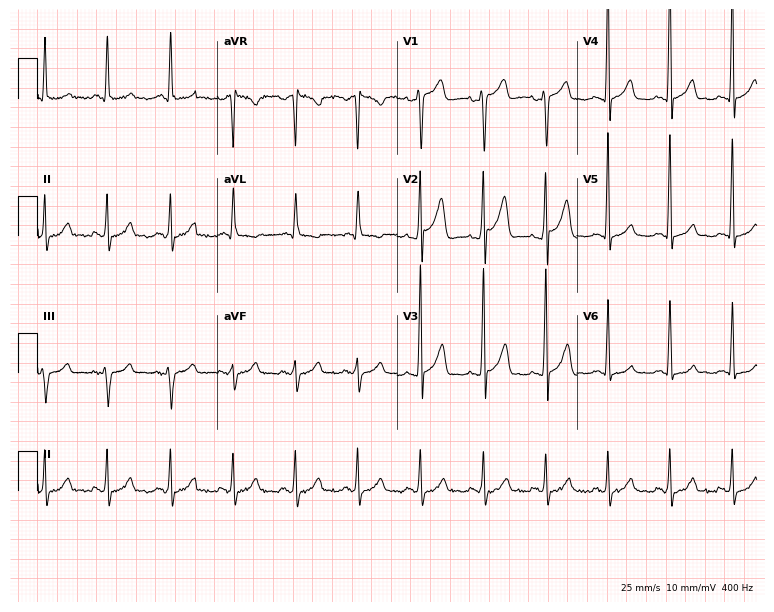
ECG — a female patient, 34 years old. Screened for six findings — first-degree AV block, right bundle branch block, left bundle branch block, sinus bradycardia, atrial fibrillation, sinus tachycardia — none is recorded.